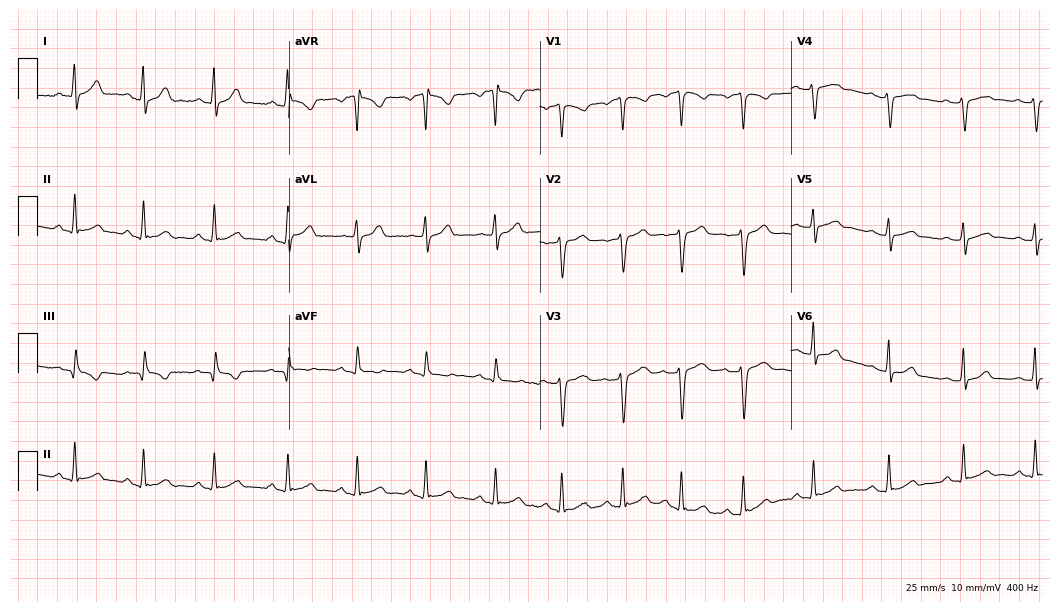
ECG (10.2-second recording at 400 Hz) — a female, 25 years old. Screened for six findings — first-degree AV block, right bundle branch block, left bundle branch block, sinus bradycardia, atrial fibrillation, sinus tachycardia — none is recorded.